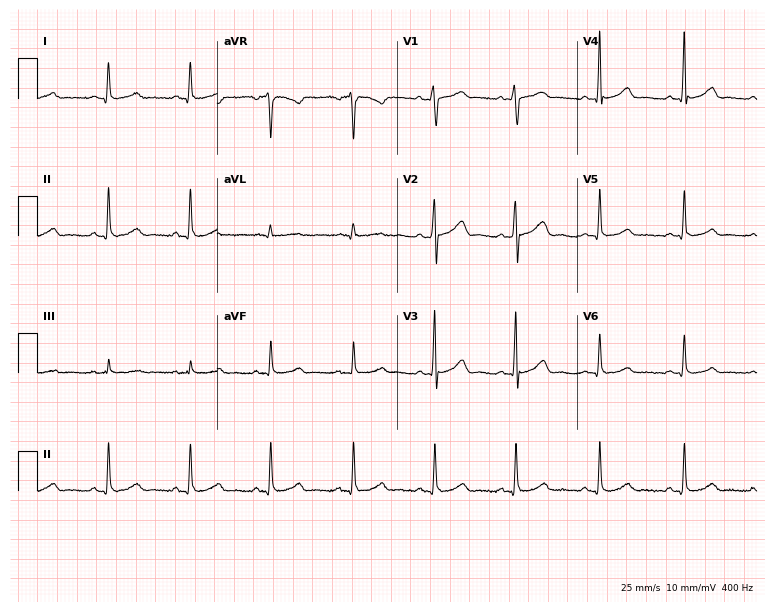
Standard 12-lead ECG recorded from a 34-year-old female (7.3-second recording at 400 Hz). None of these six findings is recorded: first-degree AV block, right bundle branch block, left bundle branch block, sinus bradycardia, atrial fibrillation, sinus tachycardia.